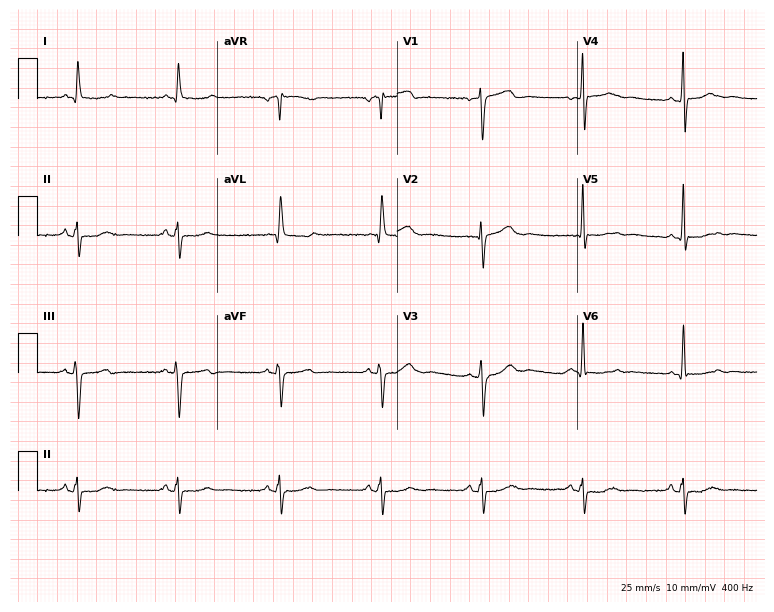
Resting 12-lead electrocardiogram (7.3-second recording at 400 Hz). Patient: a male, 80 years old. None of these six findings is recorded: first-degree AV block, right bundle branch block, left bundle branch block, sinus bradycardia, atrial fibrillation, sinus tachycardia. Other findings, if any, are not listed.